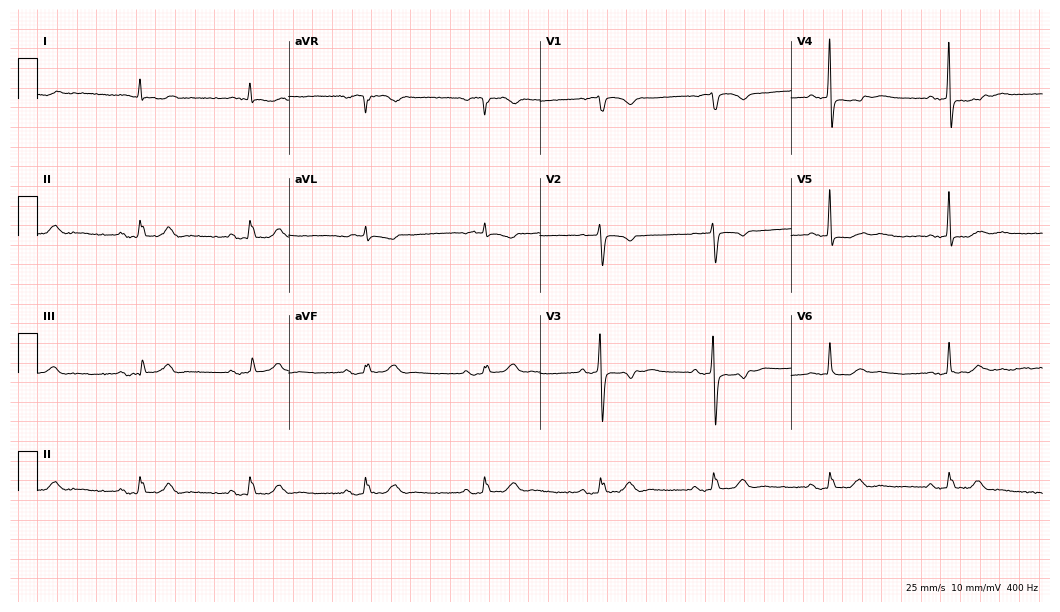
ECG — a female patient, 78 years old. Screened for six findings — first-degree AV block, right bundle branch block (RBBB), left bundle branch block (LBBB), sinus bradycardia, atrial fibrillation (AF), sinus tachycardia — none is recorded. Other findings, if any, are not listed.